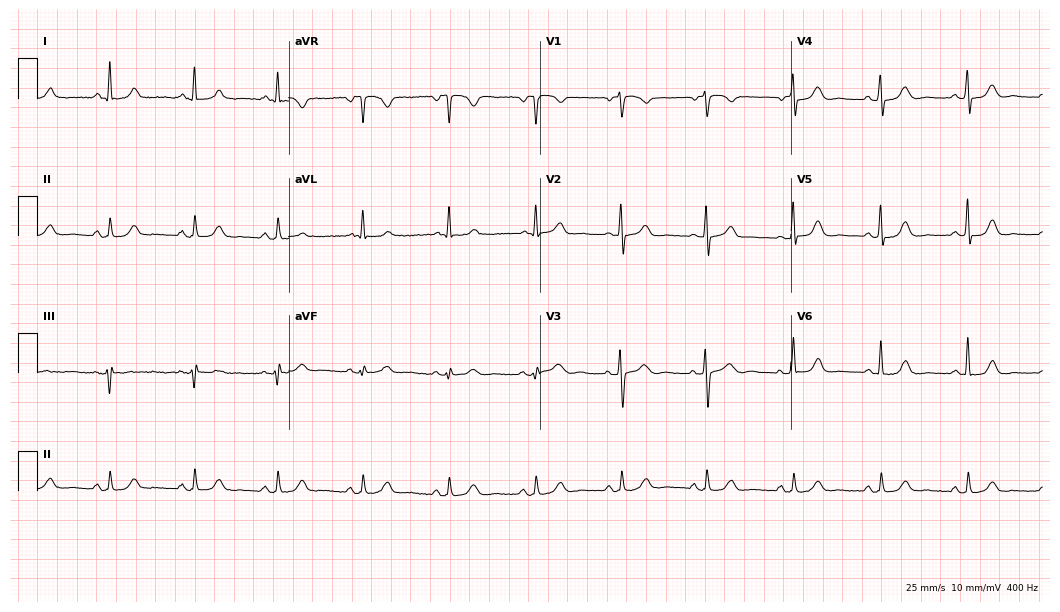
Standard 12-lead ECG recorded from a woman, 77 years old. Read as a normal ECG.